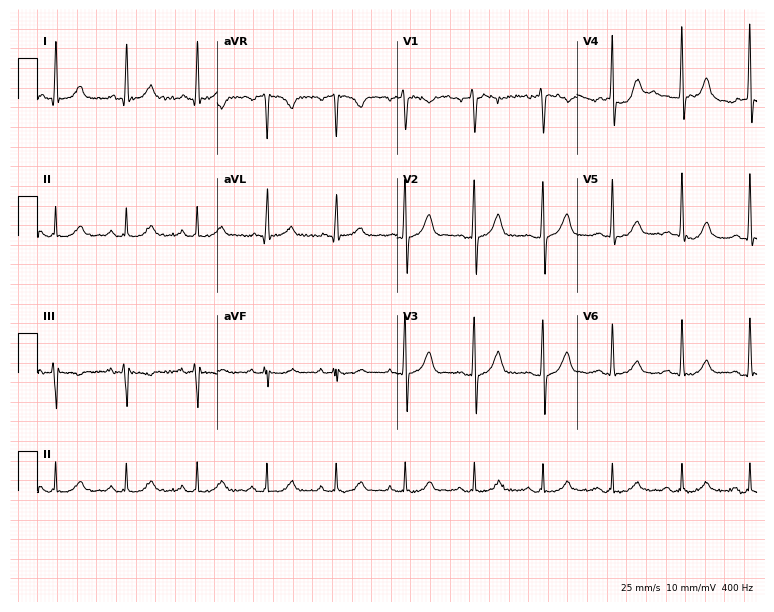
ECG (7.3-second recording at 400 Hz) — a male patient, 43 years old. Labelled as a normal ECG.